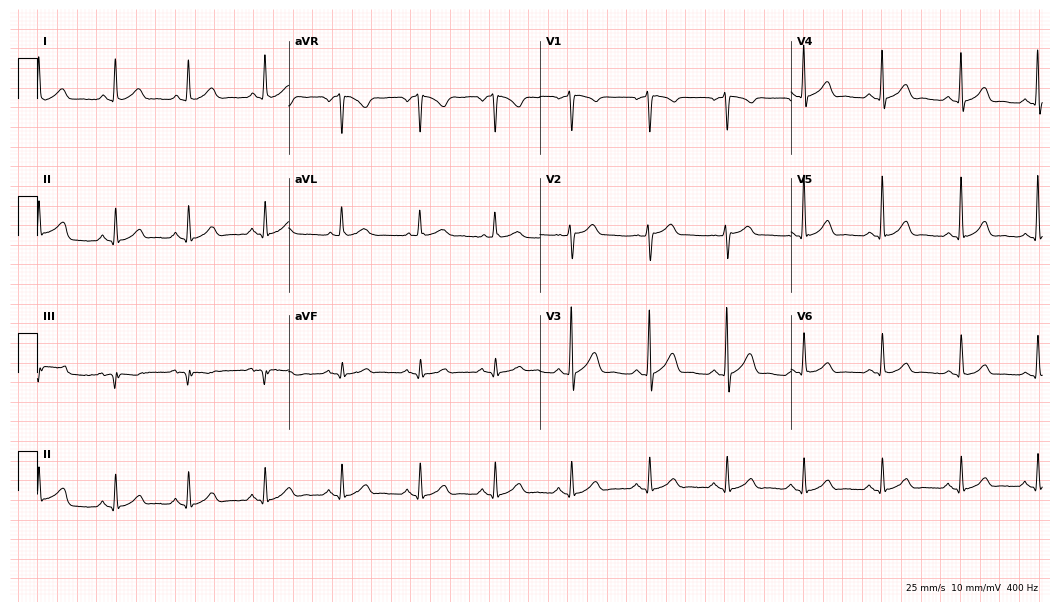
Standard 12-lead ECG recorded from a male, 45 years old (10.2-second recording at 400 Hz). Read as a normal ECG.